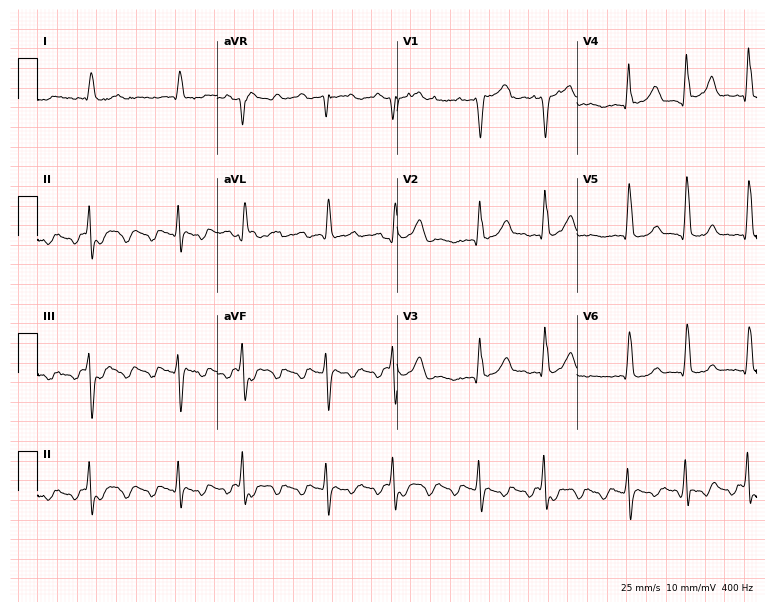
12-lead ECG (7.3-second recording at 400 Hz) from a female patient, 79 years old. Screened for six findings — first-degree AV block, right bundle branch block, left bundle branch block, sinus bradycardia, atrial fibrillation, sinus tachycardia — none is recorded.